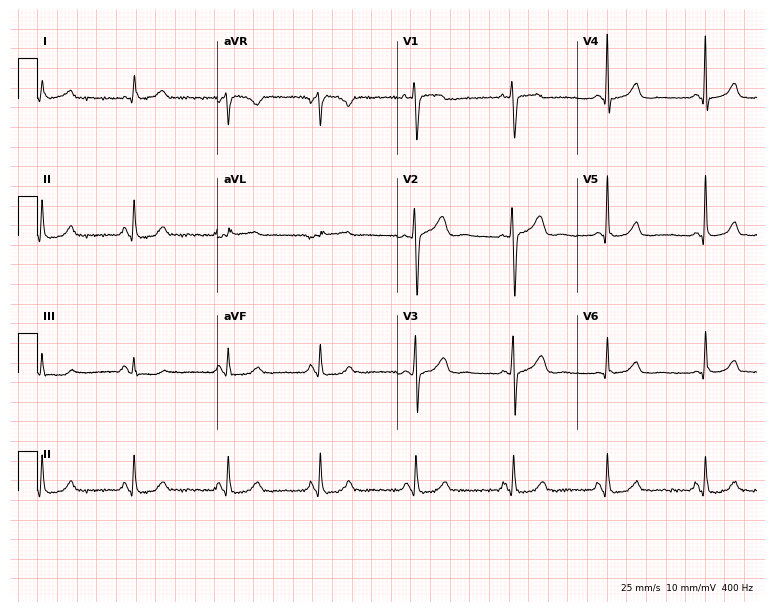
Electrocardiogram (7.3-second recording at 400 Hz), a woman, 52 years old. Of the six screened findings (first-degree AV block, right bundle branch block, left bundle branch block, sinus bradycardia, atrial fibrillation, sinus tachycardia), none is recorded. Other findings, if any, are not listed.